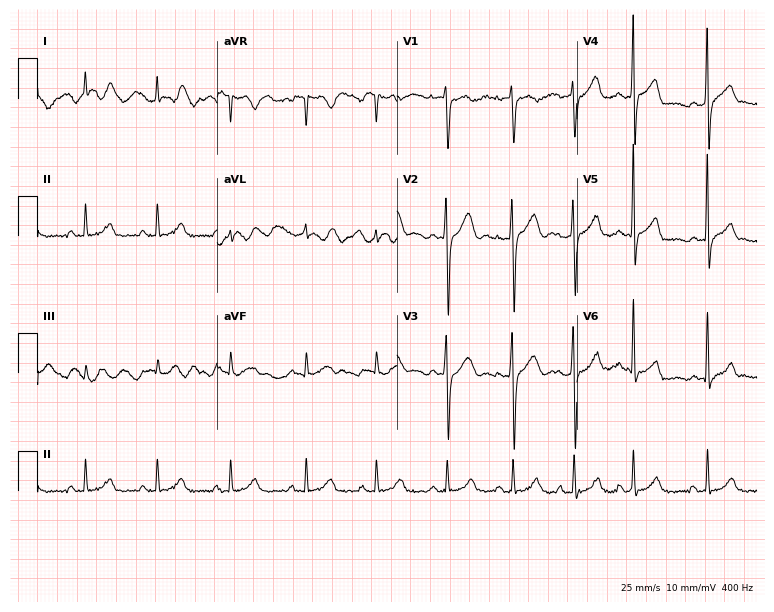
12-lead ECG (7.3-second recording at 400 Hz) from a 32-year-old male. Screened for six findings — first-degree AV block, right bundle branch block, left bundle branch block, sinus bradycardia, atrial fibrillation, sinus tachycardia — none is recorded. Only these six findings were labelled.